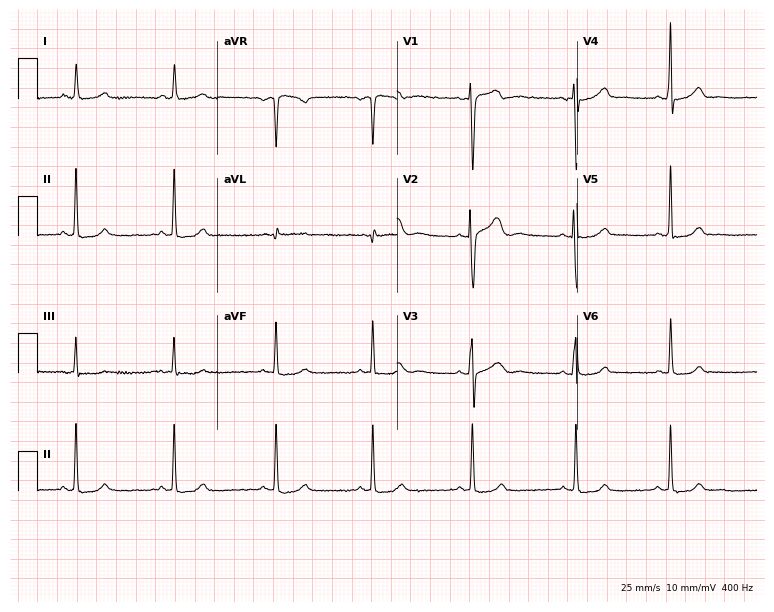
ECG — a 29-year-old female. Labelled as a normal ECG.